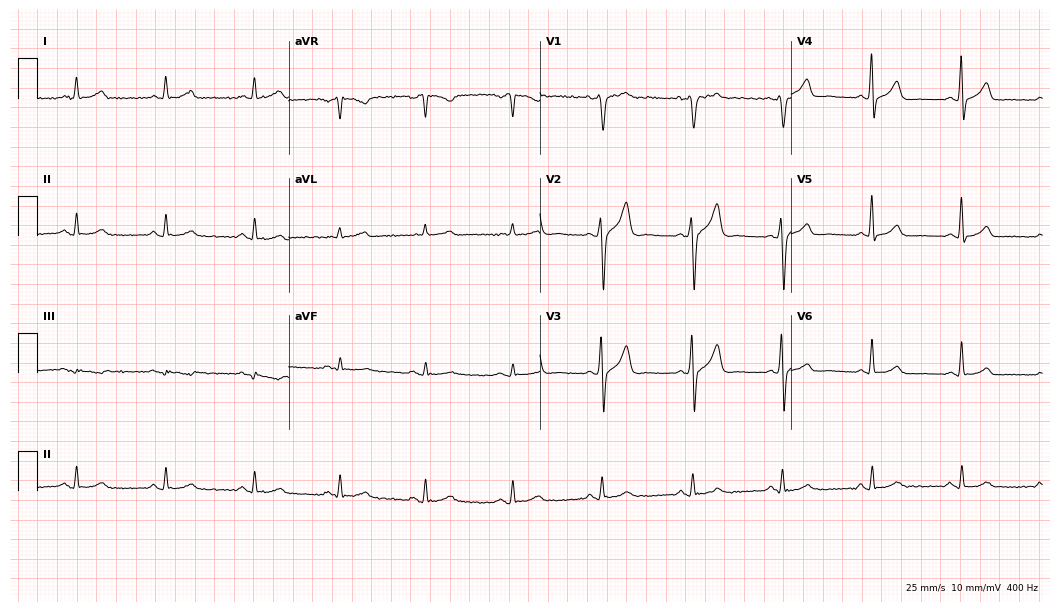
ECG — a male, 49 years old. Labelled as a normal ECG.